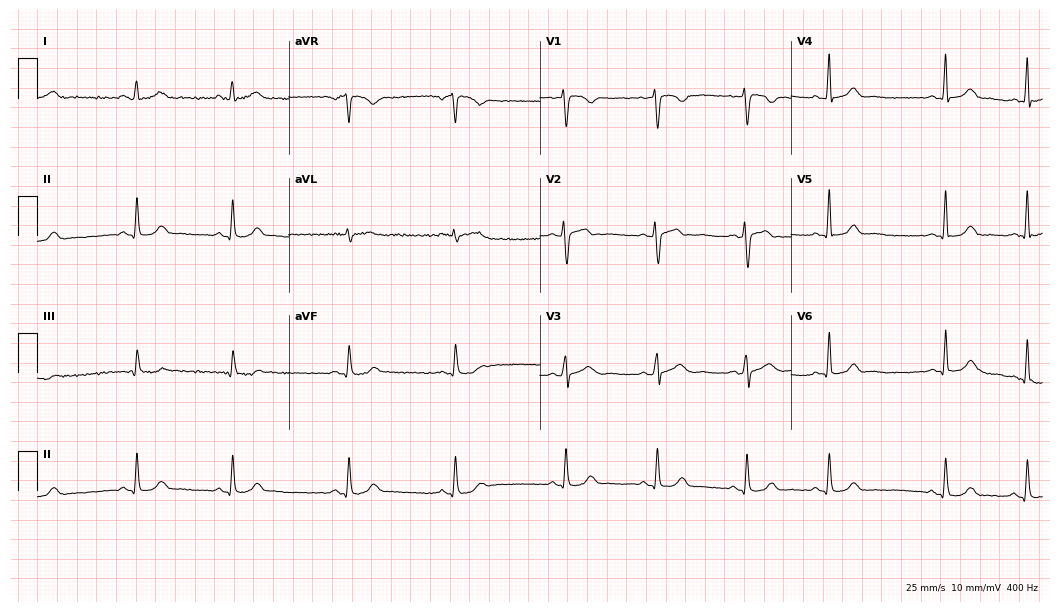
12-lead ECG from a woman, 31 years old (10.2-second recording at 400 Hz). Recorded interpretation: within normal limits.